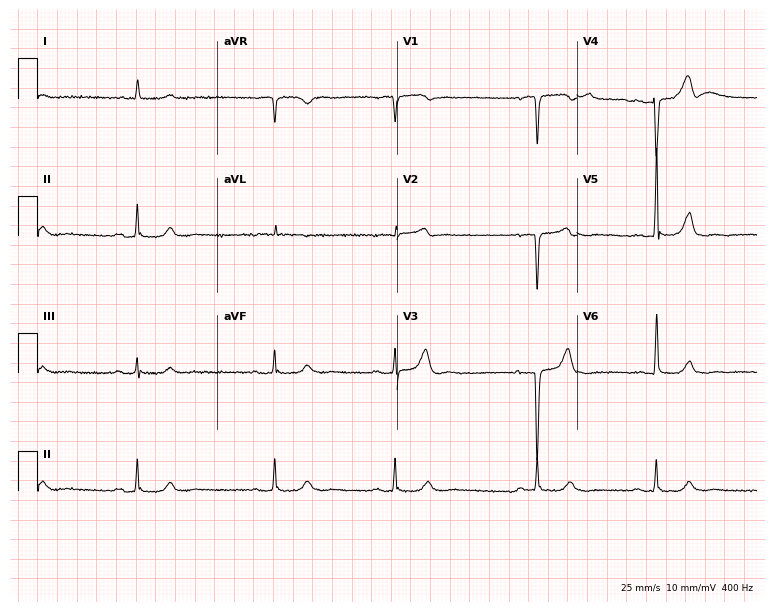
Electrocardiogram, a 75-year-old male. Of the six screened findings (first-degree AV block, right bundle branch block (RBBB), left bundle branch block (LBBB), sinus bradycardia, atrial fibrillation (AF), sinus tachycardia), none is recorded.